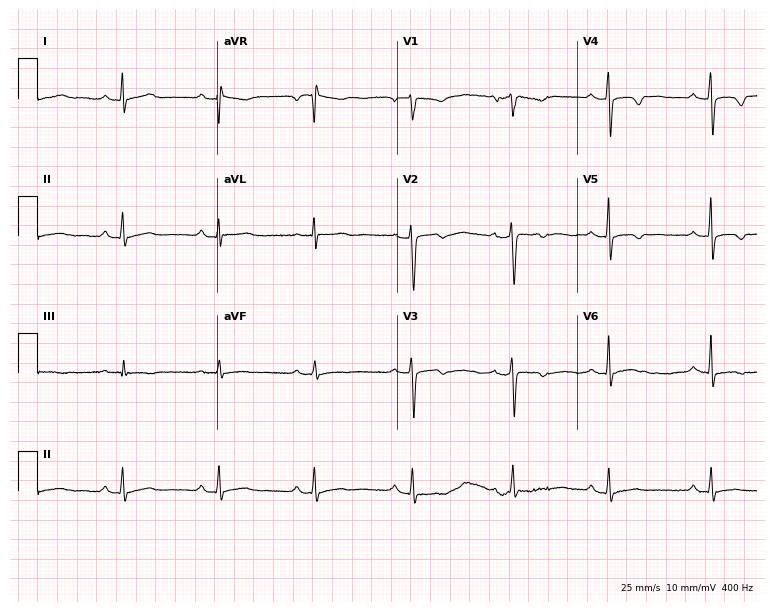
ECG — a female patient, 28 years old. Screened for six findings — first-degree AV block, right bundle branch block, left bundle branch block, sinus bradycardia, atrial fibrillation, sinus tachycardia — none is recorded.